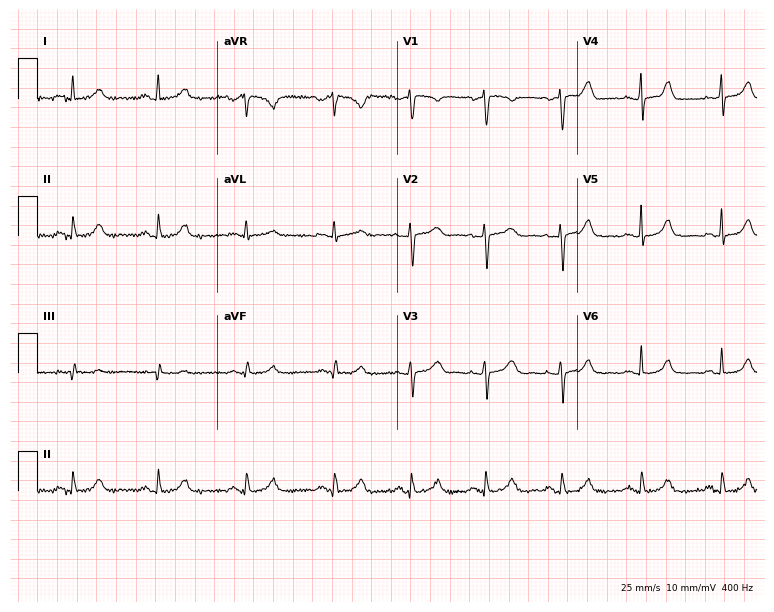
12-lead ECG from a woman, 47 years old. Labelled as a normal ECG.